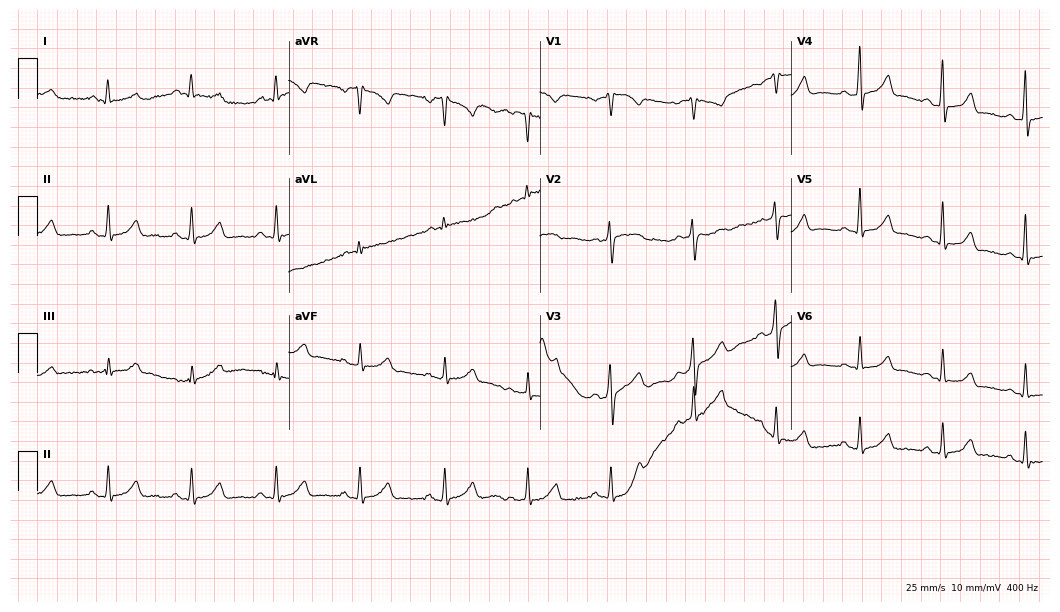
12-lead ECG (10.2-second recording at 400 Hz) from a female, 47 years old. Labelled as a normal ECG.